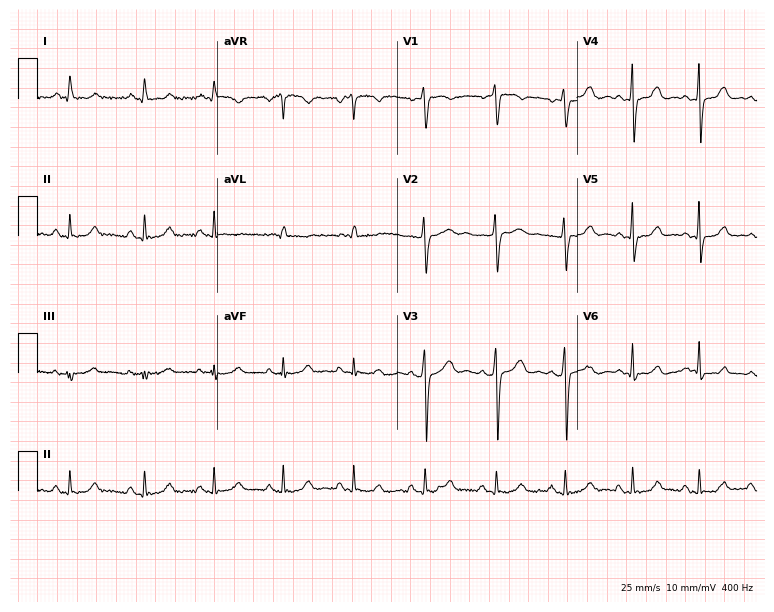
12-lead ECG from a female patient, 40 years old. Labelled as a normal ECG.